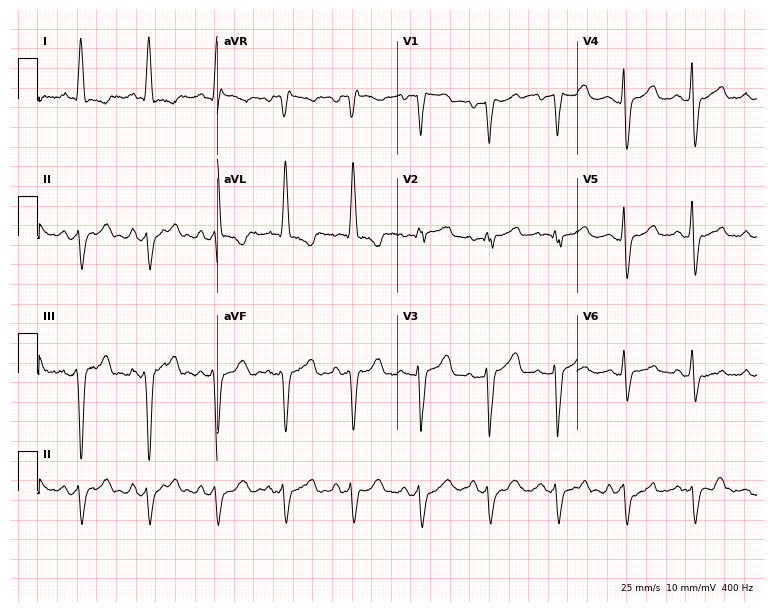
Resting 12-lead electrocardiogram. Patient: a woman, 75 years old. The tracing shows left bundle branch block.